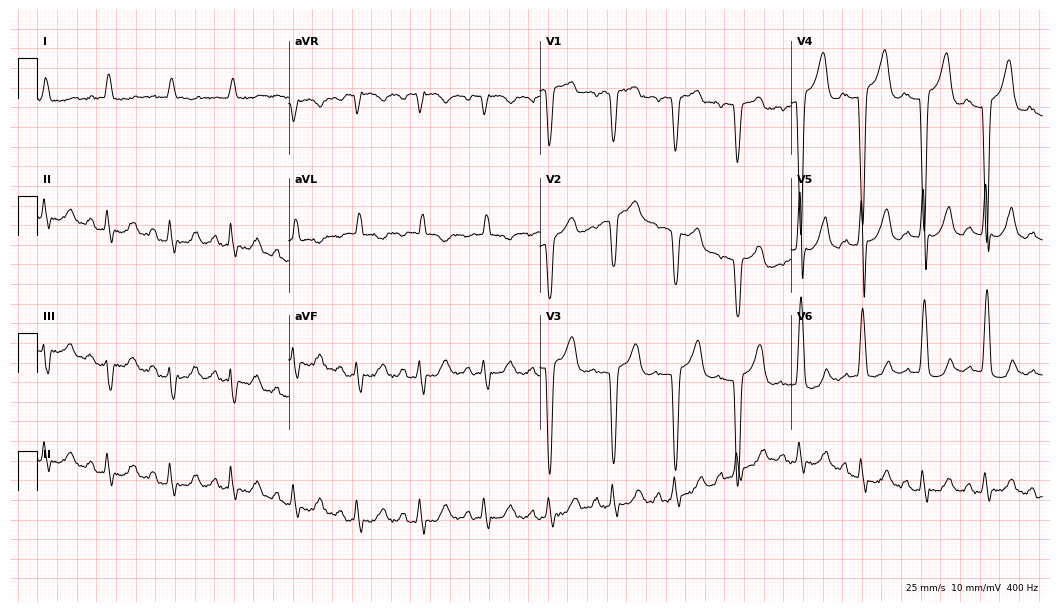
Resting 12-lead electrocardiogram (10.2-second recording at 400 Hz). Patient: a female, 74 years old. None of these six findings is recorded: first-degree AV block, right bundle branch block (RBBB), left bundle branch block (LBBB), sinus bradycardia, atrial fibrillation (AF), sinus tachycardia.